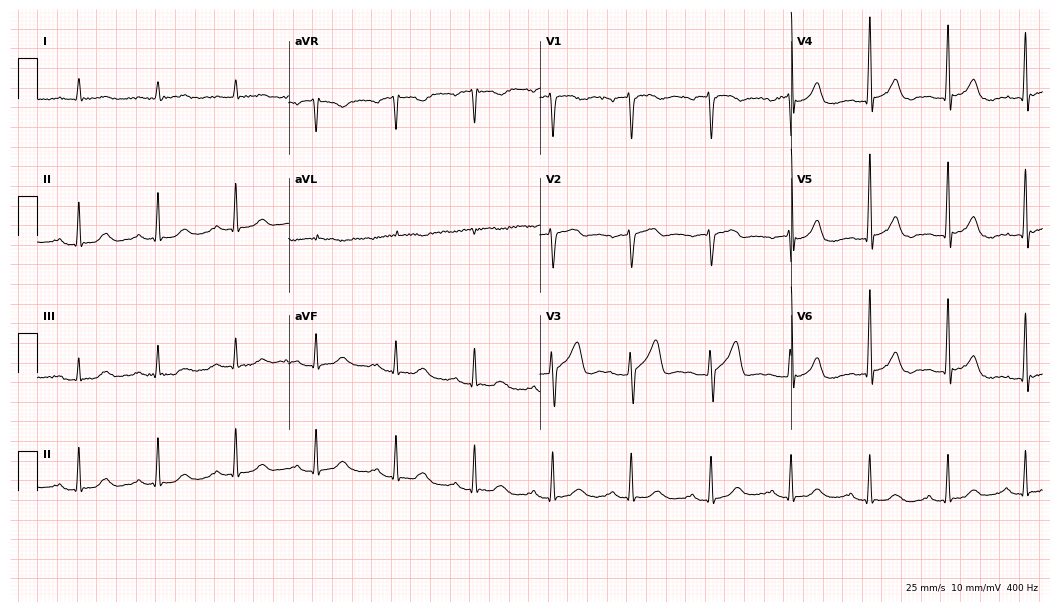
Standard 12-lead ECG recorded from a man, 75 years old (10.2-second recording at 400 Hz). The tracing shows first-degree AV block.